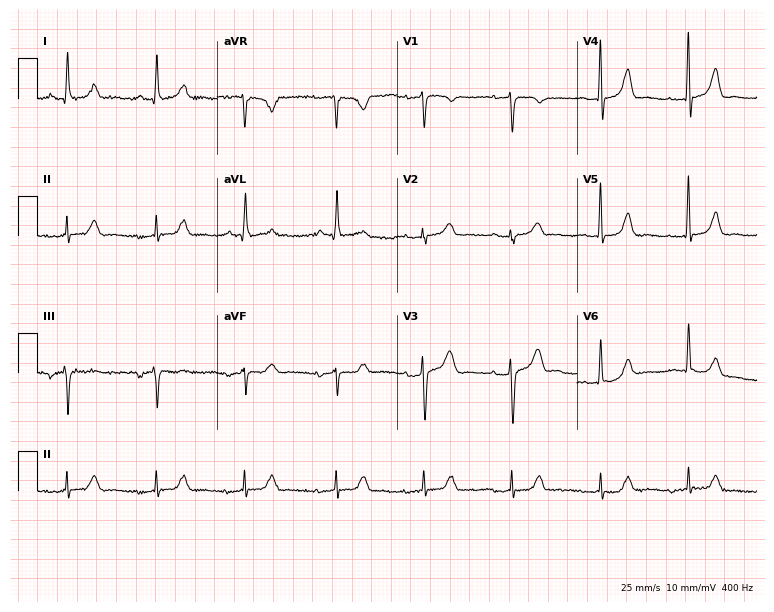
12-lead ECG from a female, 77 years old. Recorded interpretation: within normal limits.